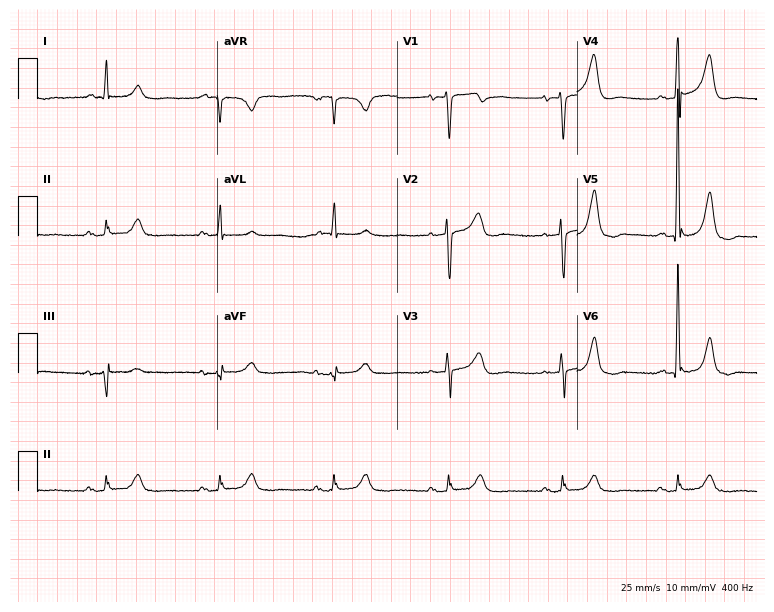
12-lead ECG from a man, 77 years old. Screened for six findings — first-degree AV block, right bundle branch block (RBBB), left bundle branch block (LBBB), sinus bradycardia, atrial fibrillation (AF), sinus tachycardia — none is recorded. Other findings, if any, are not listed.